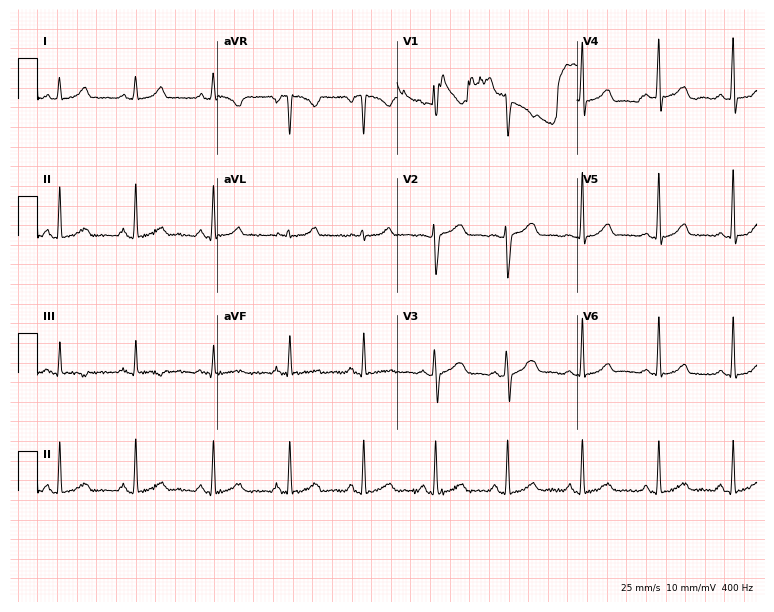
ECG — a 29-year-old woman. Labelled as a normal ECG.